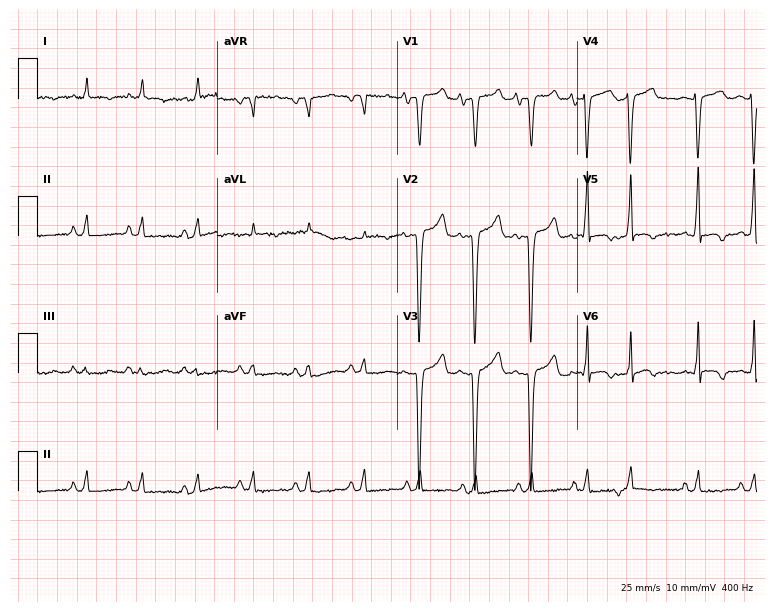
Electrocardiogram (7.3-second recording at 400 Hz), a 67-year-old male. Interpretation includes sinus tachycardia (a sinus rate of 100 beats per minute or more).